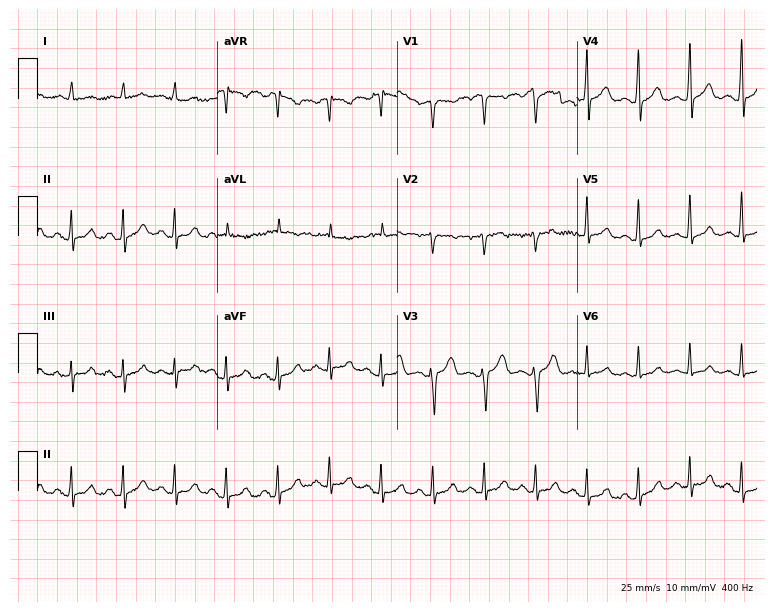
Standard 12-lead ECG recorded from a 56-year-old male (7.3-second recording at 400 Hz). The tracing shows sinus tachycardia (a sinus rate of 100 beats per minute or more).